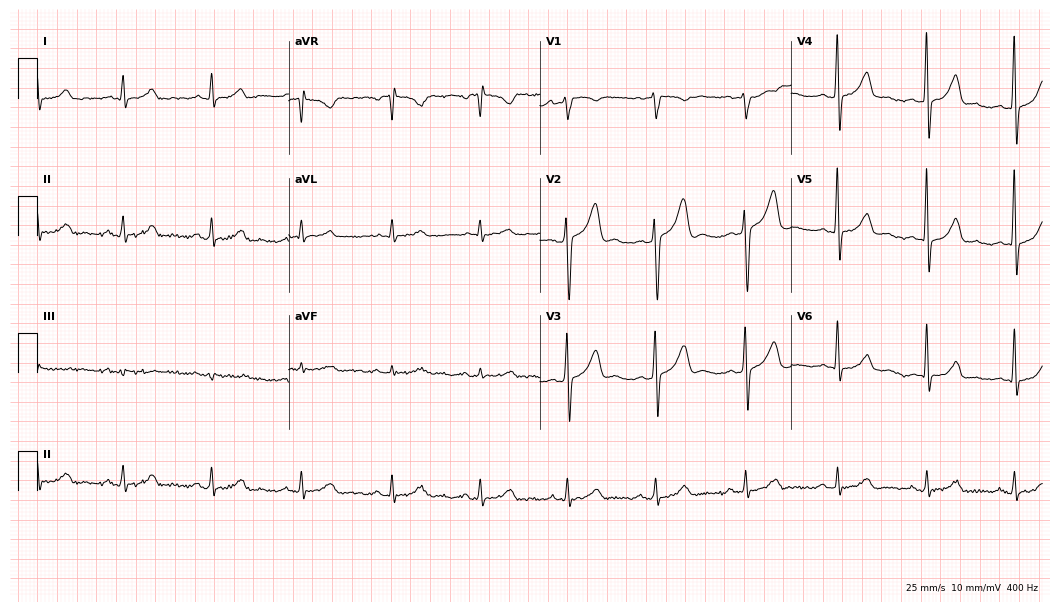
12-lead ECG from a 36-year-old man. Labelled as a normal ECG.